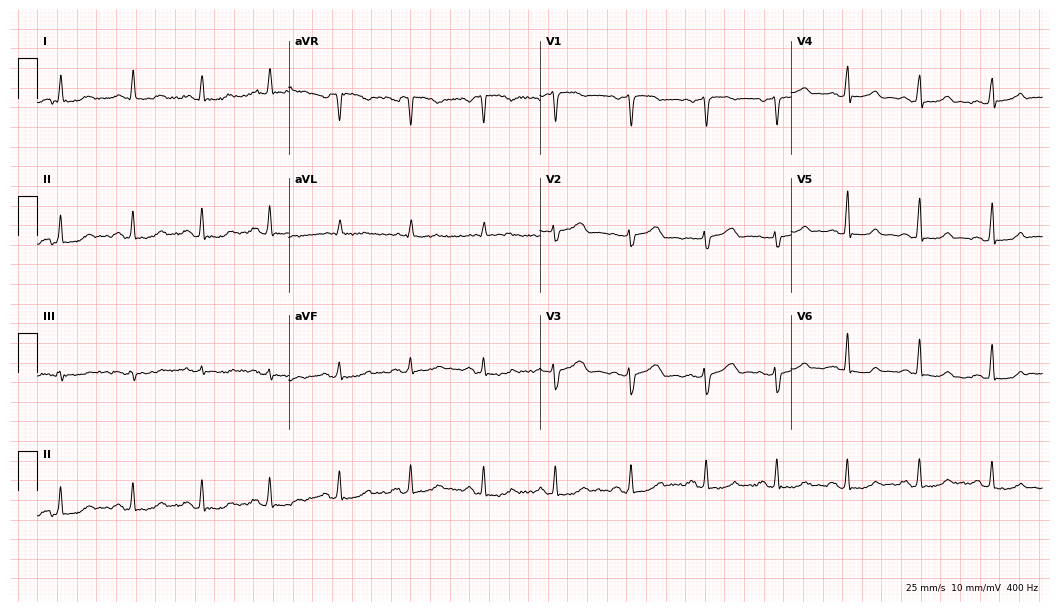
ECG (10.2-second recording at 400 Hz) — a 51-year-old woman. Labelled as a normal ECG.